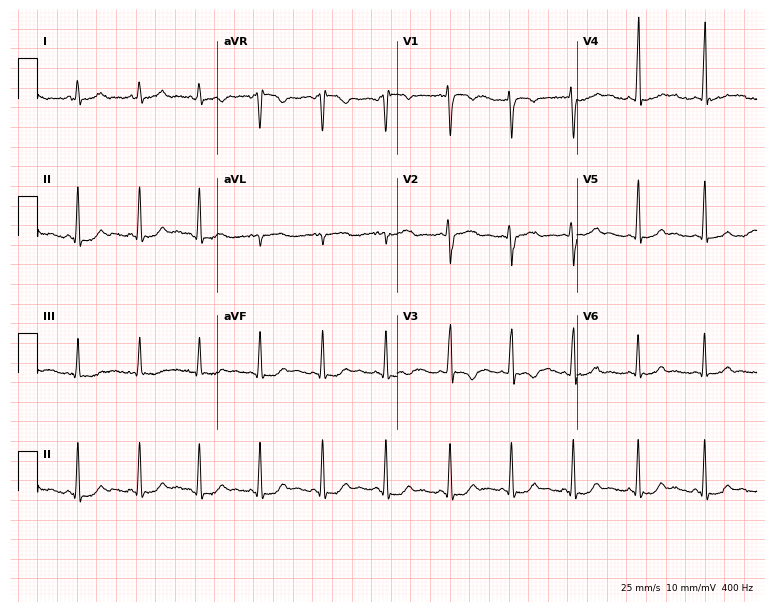
12-lead ECG from an 18-year-old female (7.3-second recording at 400 Hz). No first-degree AV block, right bundle branch block (RBBB), left bundle branch block (LBBB), sinus bradycardia, atrial fibrillation (AF) or sinus tachycardia recorded for this tracing.